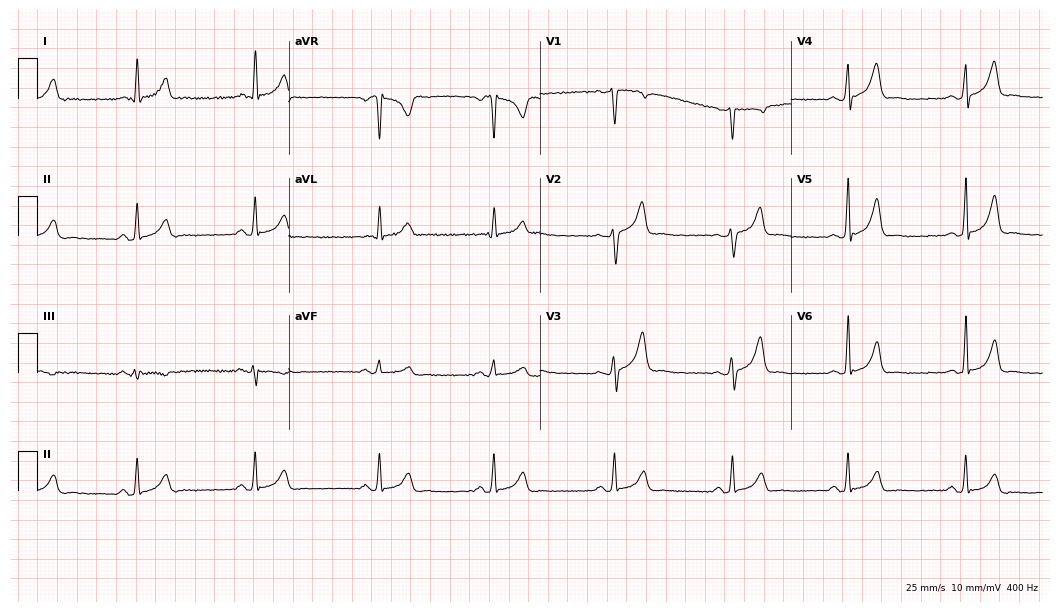
Electrocardiogram, a woman, 33 years old. Interpretation includes sinus bradycardia (a sinus rate of 50 beats per minute or less).